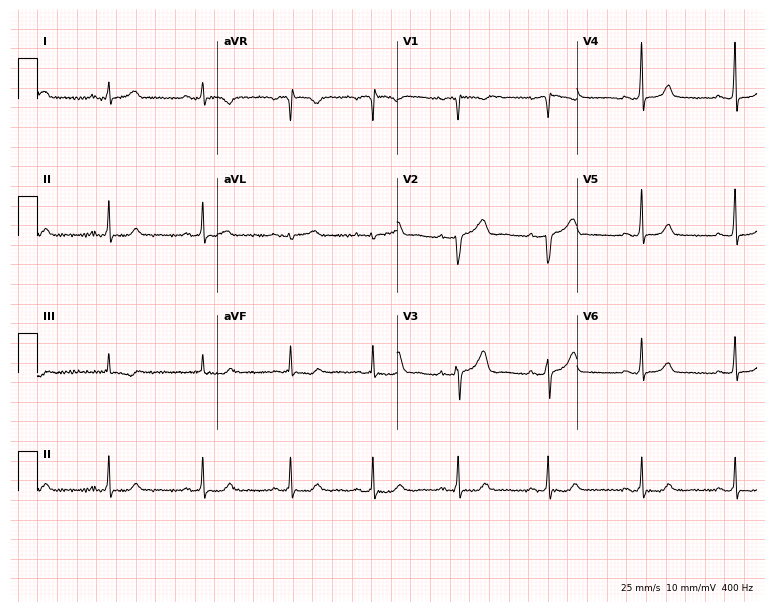
Electrocardiogram, a 48-year-old female. Of the six screened findings (first-degree AV block, right bundle branch block, left bundle branch block, sinus bradycardia, atrial fibrillation, sinus tachycardia), none is recorded.